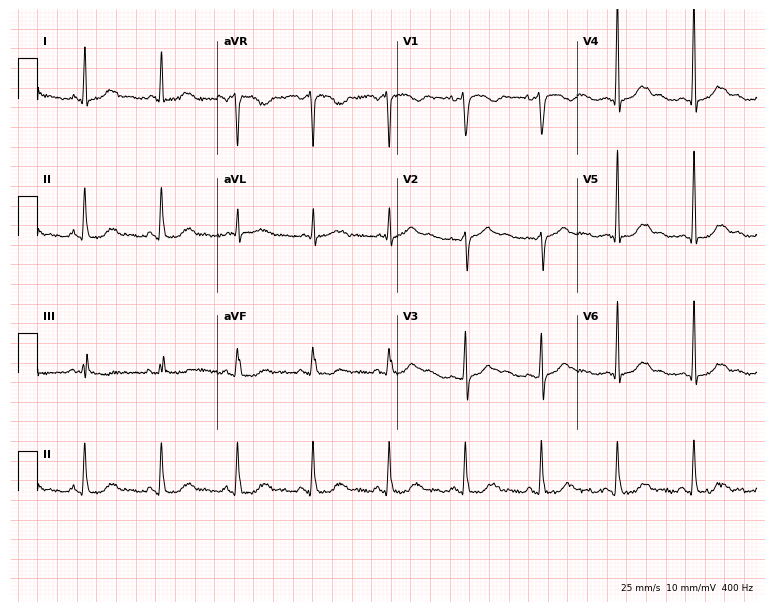
Standard 12-lead ECG recorded from a female, 51 years old. None of these six findings is recorded: first-degree AV block, right bundle branch block, left bundle branch block, sinus bradycardia, atrial fibrillation, sinus tachycardia. Only these six findings were labelled.